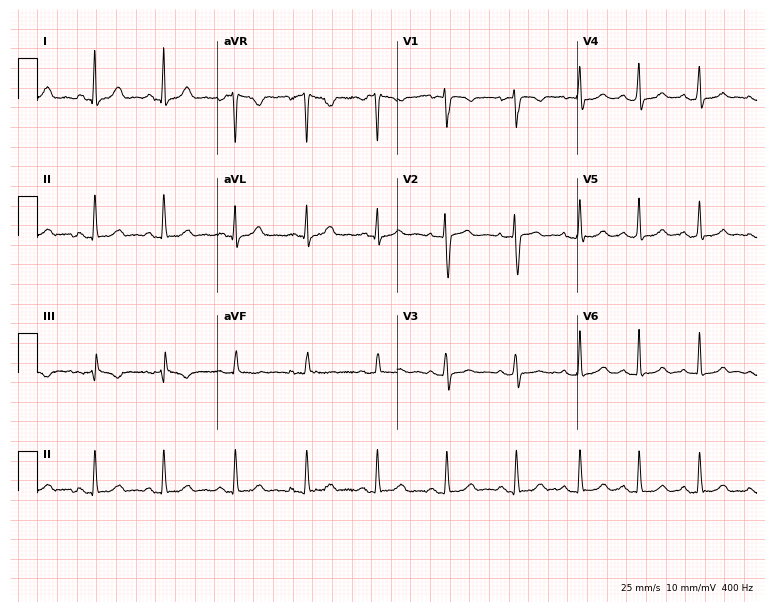
Electrocardiogram (7.3-second recording at 400 Hz), a 19-year-old female patient. Of the six screened findings (first-degree AV block, right bundle branch block, left bundle branch block, sinus bradycardia, atrial fibrillation, sinus tachycardia), none is recorded. Only these six findings were labelled.